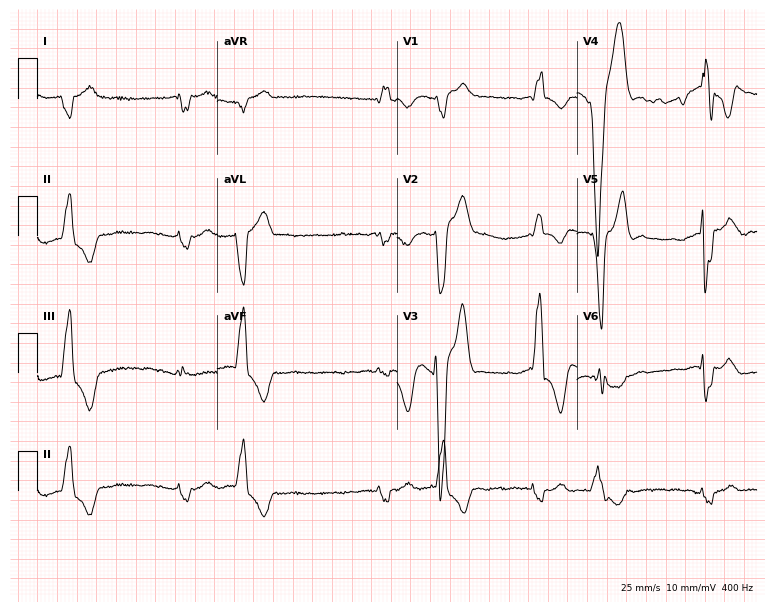
12-lead ECG (7.3-second recording at 400 Hz) from a 70-year-old man. Findings include right bundle branch block, atrial fibrillation.